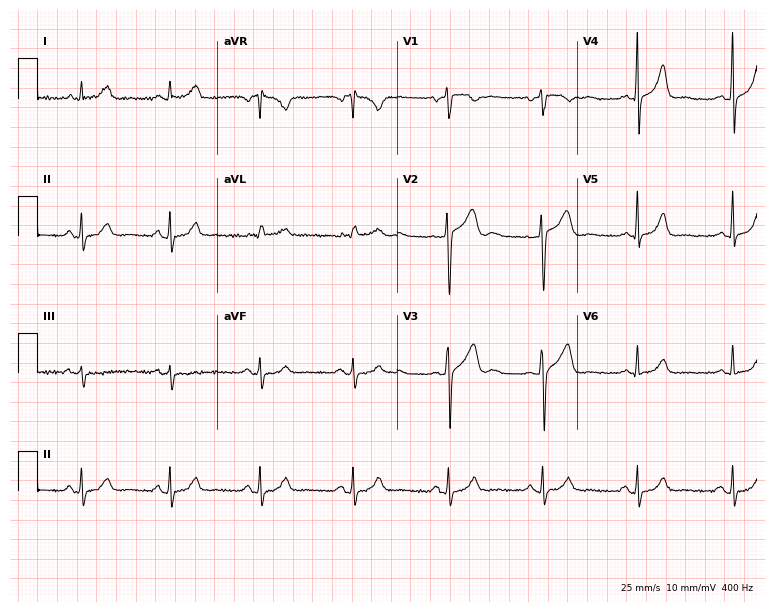
12-lead ECG (7.3-second recording at 400 Hz) from a male patient, 42 years old. Labelled as a normal ECG.